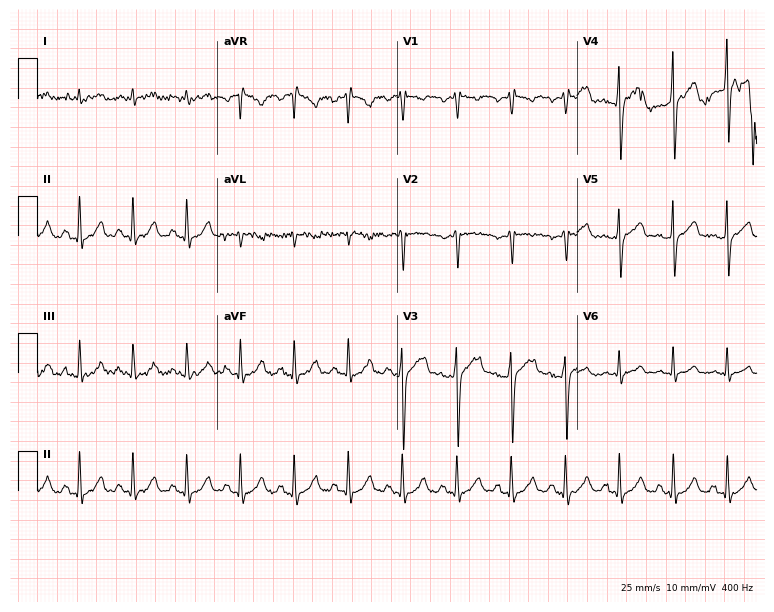
Electrocardiogram (7.3-second recording at 400 Hz), a man, 53 years old. Interpretation includes sinus tachycardia (a sinus rate of 100 beats per minute or more).